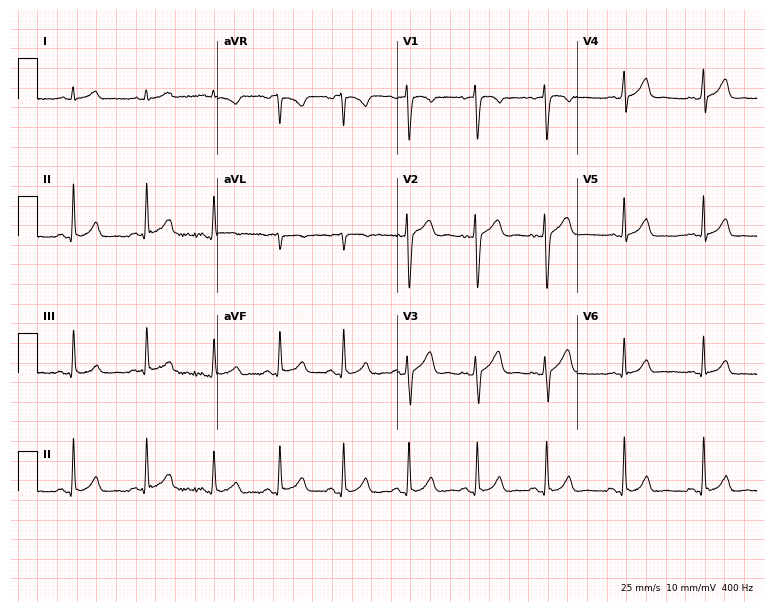
Electrocardiogram, a man, 31 years old. Overall reading on record: normal ECG.